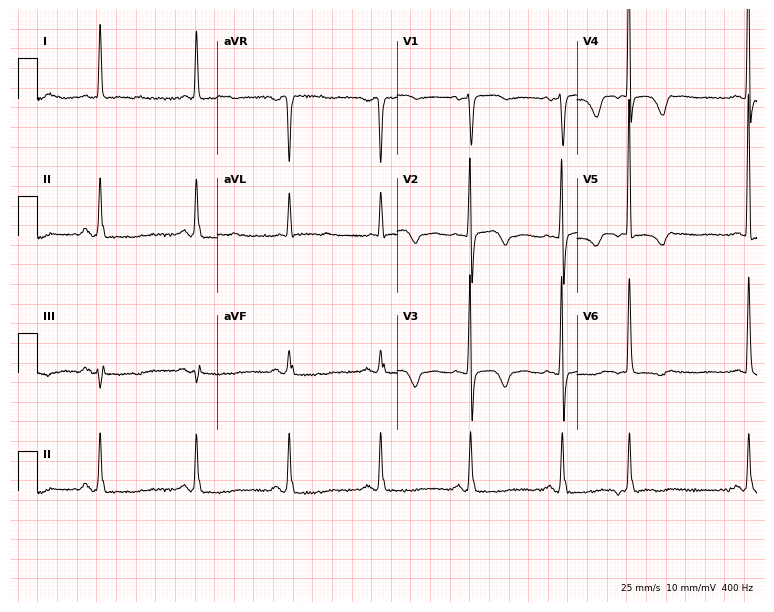
12-lead ECG from a female, 50 years old (7.3-second recording at 400 Hz). No first-degree AV block, right bundle branch block (RBBB), left bundle branch block (LBBB), sinus bradycardia, atrial fibrillation (AF) or sinus tachycardia recorded for this tracing.